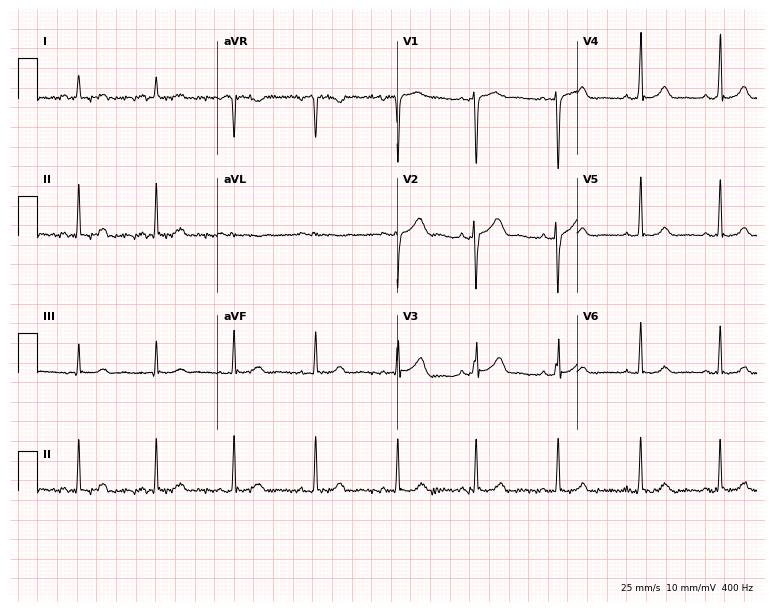
12-lead ECG (7.3-second recording at 400 Hz) from a female, 25 years old. Screened for six findings — first-degree AV block, right bundle branch block, left bundle branch block, sinus bradycardia, atrial fibrillation, sinus tachycardia — none is recorded. Other findings, if any, are not listed.